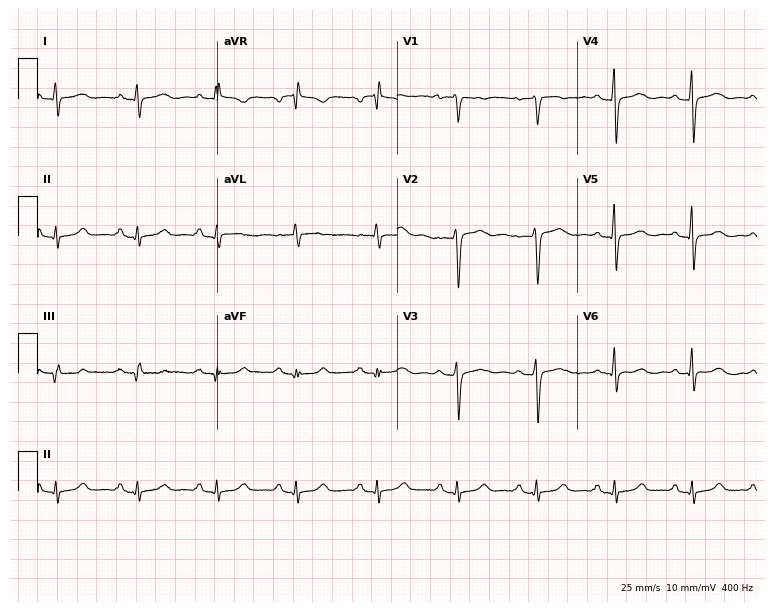
ECG (7.3-second recording at 400 Hz) — a woman, 49 years old. Screened for six findings — first-degree AV block, right bundle branch block, left bundle branch block, sinus bradycardia, atrial fibrillation, sinus tachycardia — none is recorded.